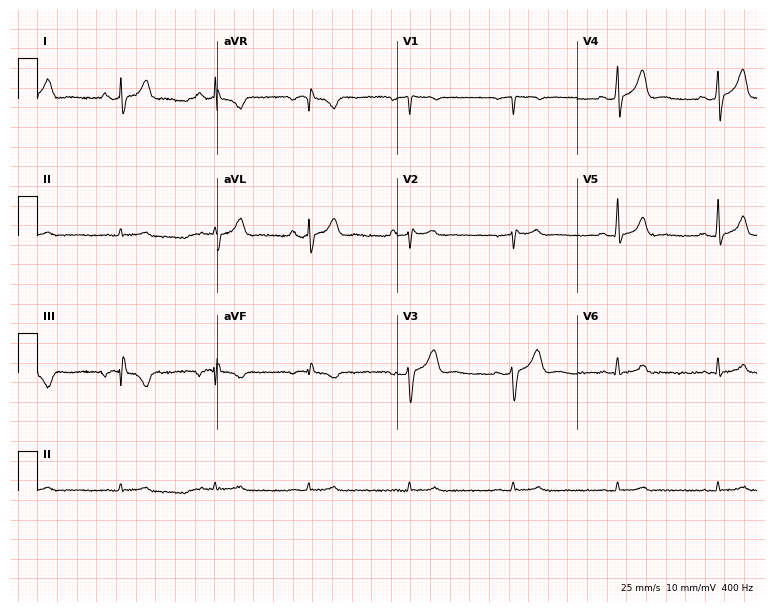
ECG — a man, 45 years old. Screened for six findings — first-degree AV block, right bundle branch block (RBBB), left bundle branch block (LBBB), sinus bradycardia, atrial fibrillation (AF), sinus tachycardia — none is recorded.